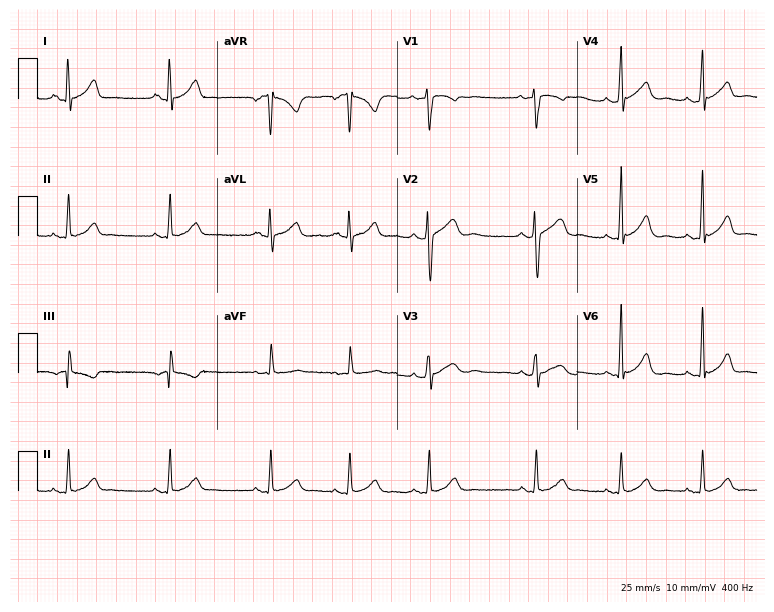
12-lead ECG from a female patient, 25 years old. Labelled as a normal ECG.